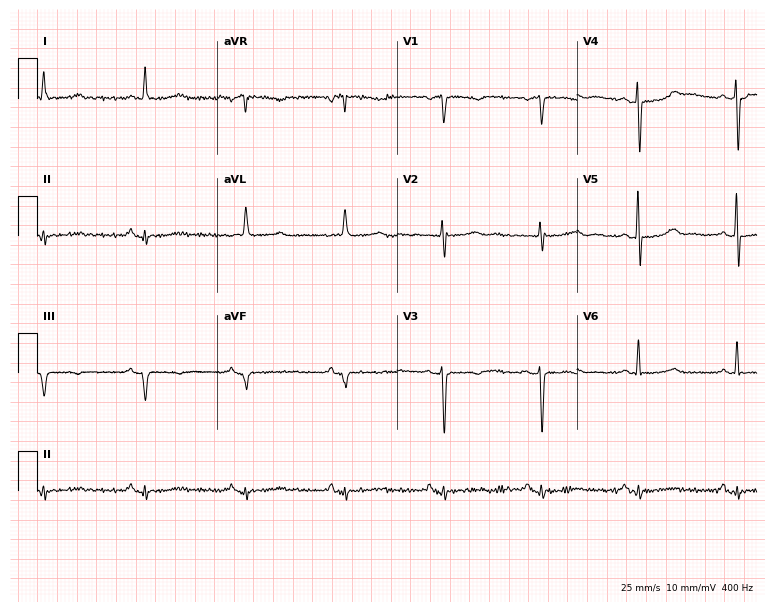
12-lead ECG from a 78-year-old female (7.3-second recording at 400 Hz). No first-degree AV block, right bundle branch block, left bundle branch block, sinus bradycardia, atrial fibrillation or sinus tachycardia recorded for this tracing.